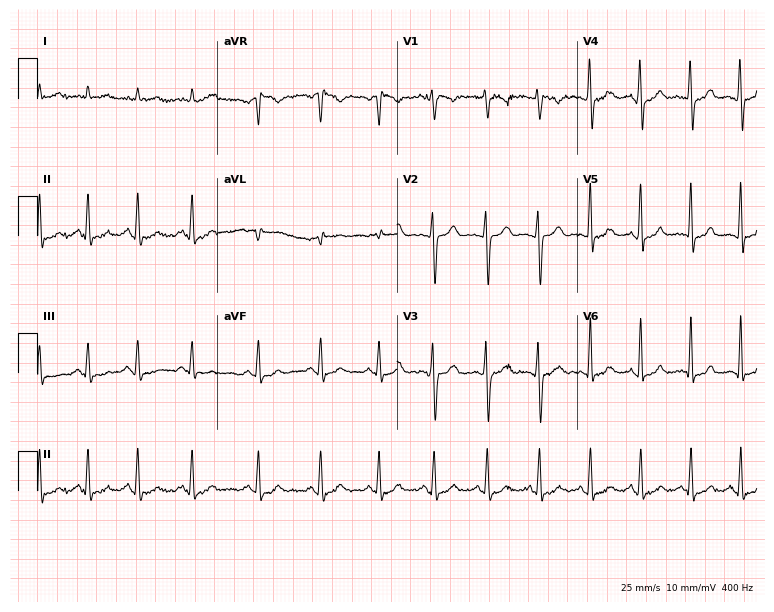
12-lead ECG from a woman, 37 years old. Shows sinus tachycardia (a sinus rate of 100 beats per minute or more).